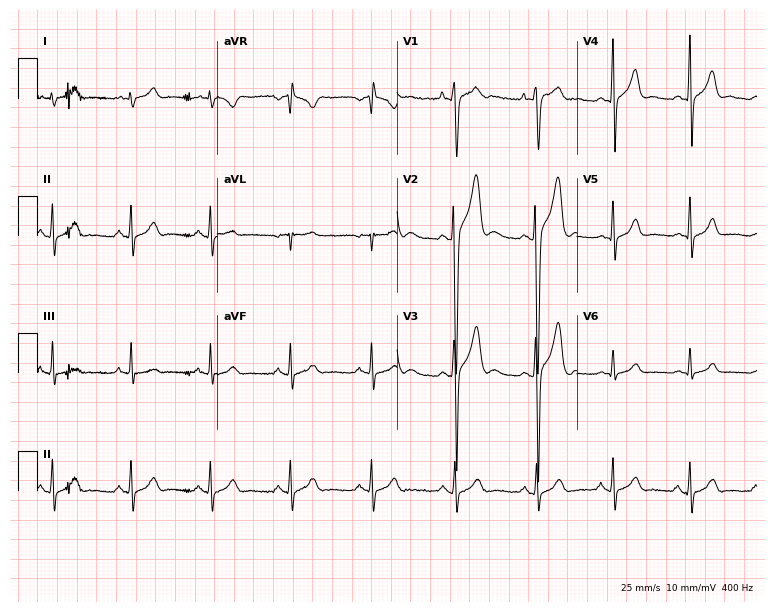
Electrocardiogram (7.3-second recording at 400 Hz), a 17-year-old man. Of the six screened findings (first-degree AV block, right bundle branch block, left bundle branch block, sinus bradycardia, atrial fibrillation, sinus tachycardia), none is recorded.